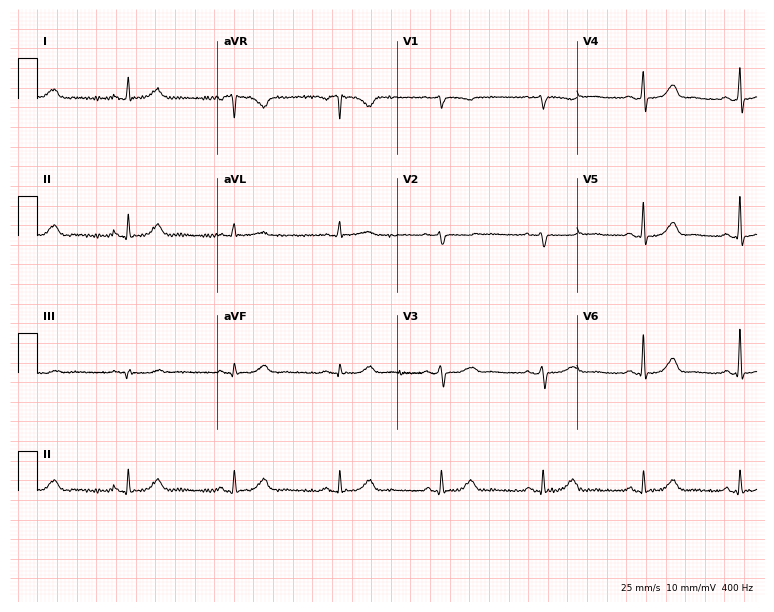
12-lead ECG from a 52-year-old female patient (7.3-second recording at 400 Hz). Recorded interpretation: within normal limits.